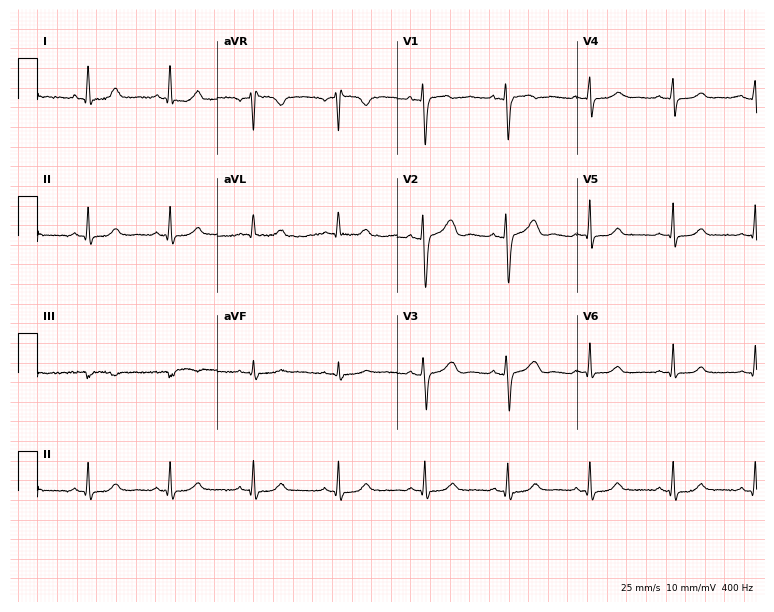
12-lead ECG from a female patient, 48 years old. No first-degree AV block, right bundle branch block, left bundle branch block, sinus bradycardia, atrial fibrillation or sinus tachycardia recorded for this tracing. Findings outside these six are not listed.